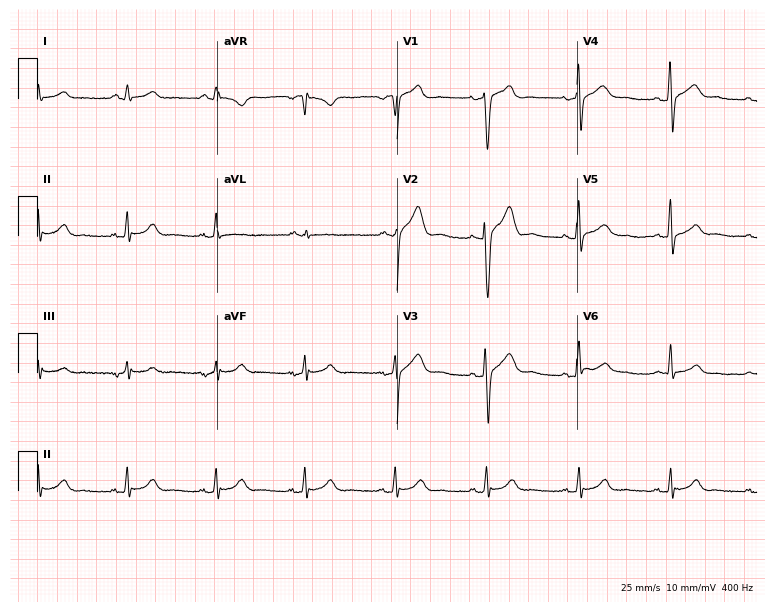
Resting 12-lead electrocardiogram (7.3-second recording at 400 Hz). Patient: a 50-year-old female. Read as a normal ECG.